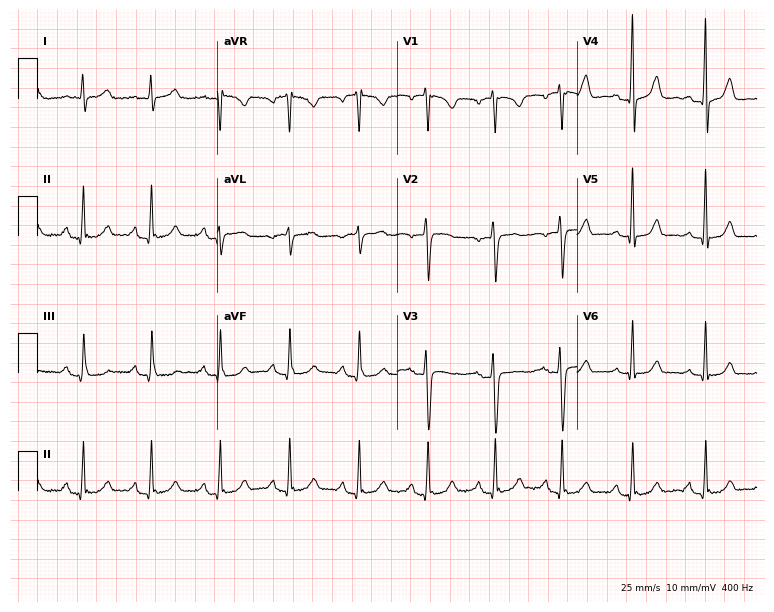
Resting 12-lead electrocardiogram (7.3-second recording at 400 Hz). Patient: a 58-year-old woman. Read as a normal ECG.